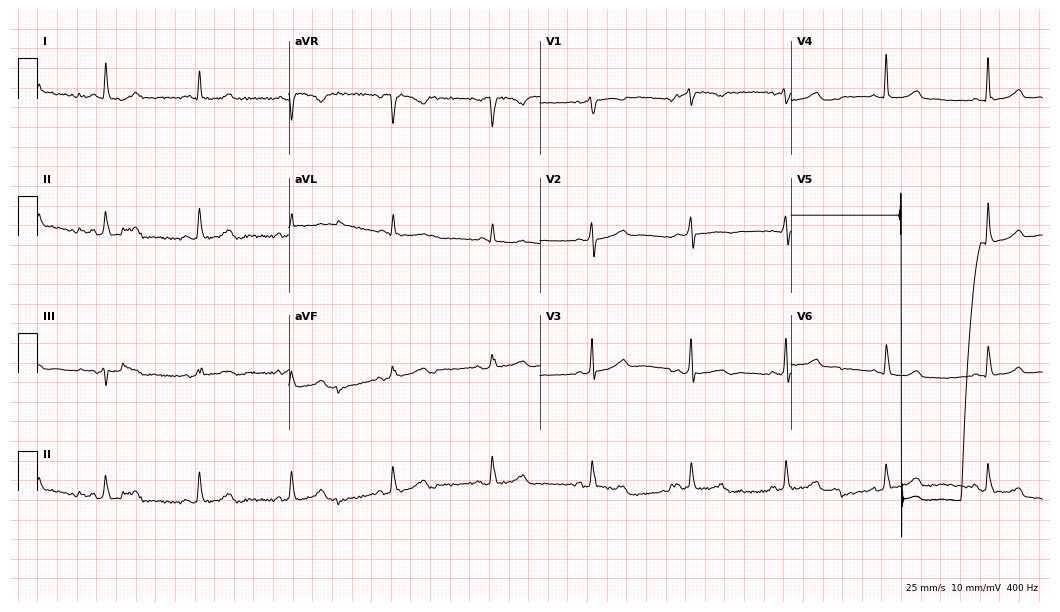
Resting 12-lead electrocardiogram. Patient: a woman, 78 years old. None of these six findings is recorded: first-degree AV block, right bundle branch block, left bundle branch block, sinus bradycardia, atrial fibrillation, sinus tachycardia.